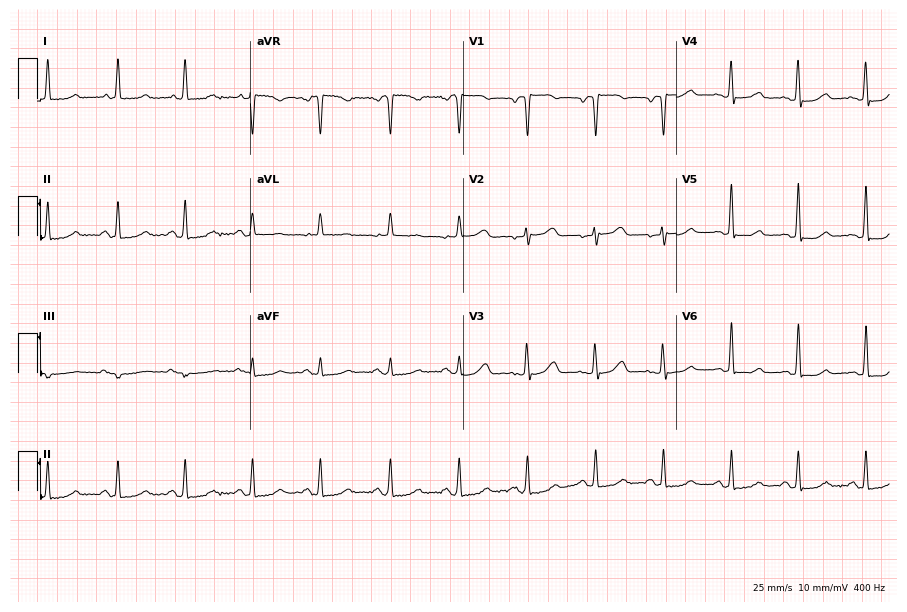
Standard 12-lead ECG recorded from a female, 45 years old. None of these six findings is recorded: first-degree AV block, right bundle branch block (RBBB), left bundle branch block (LBBB), sinus bradycardia, atrial fibrillation (AF), sinus tachycardia.